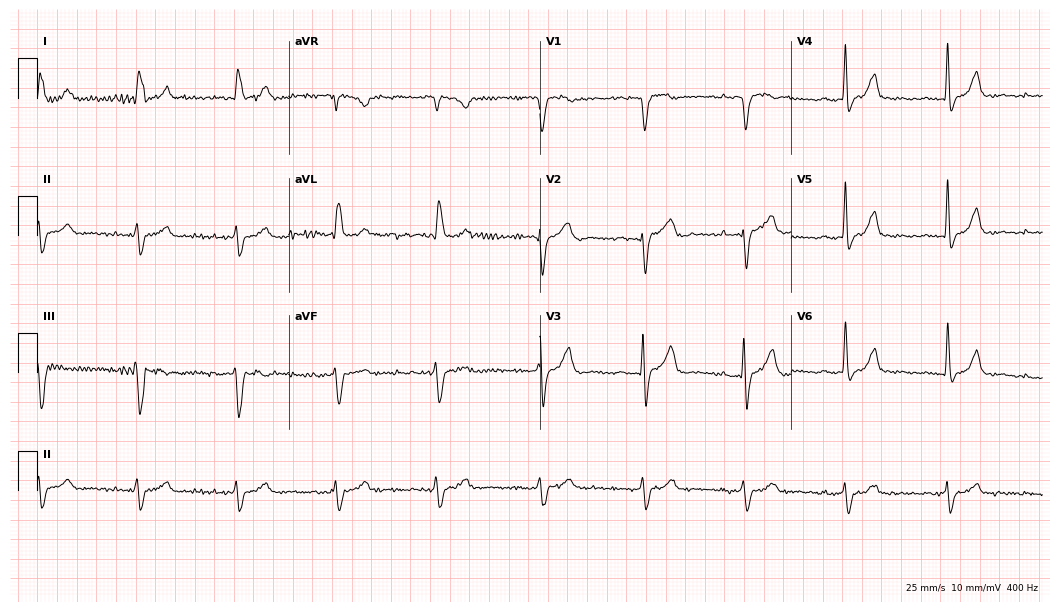
12-lead ECG from a 78-year-old male (10.2-second recording at 400 Hz). No first-degree AV block, right bundle branch block (RBBB), left bundle branch block (LBBB), sinus bradycardia, atrial fibrillation (AF) or sinus tachycardia recorded for this tracing. Other findings, if any, are not listed.